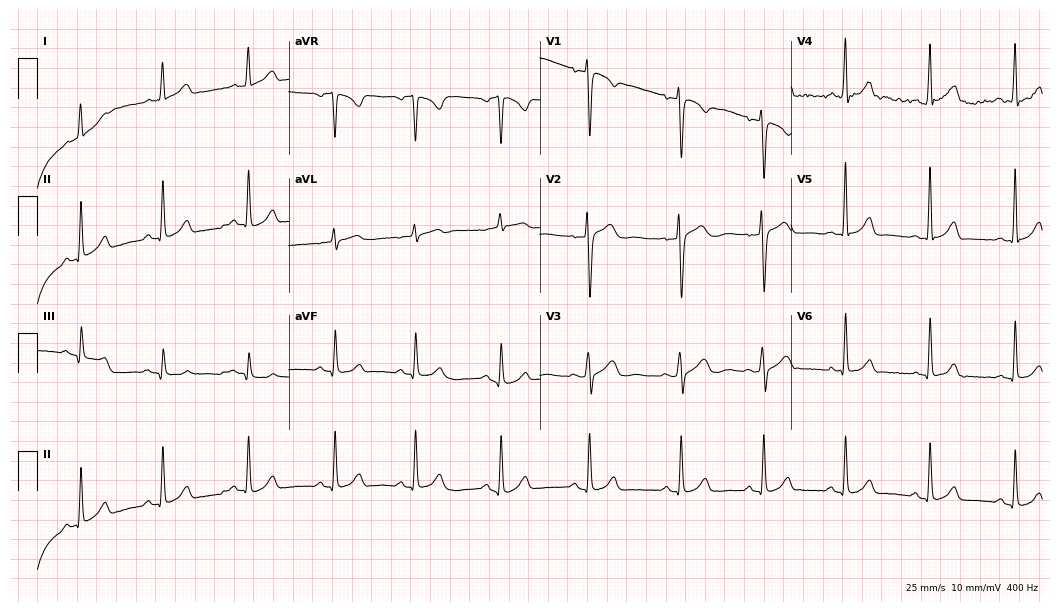
ECG — a 24-year-old woman. Labelled as a normal ECG.